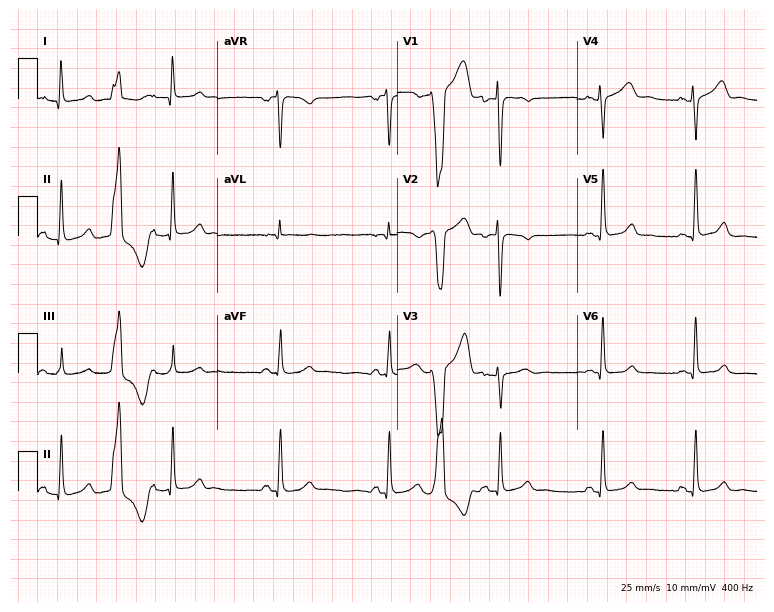
Resting 12-lead electrocardiogram. Patient: a female, 35 years old. Read as a normal ECG.